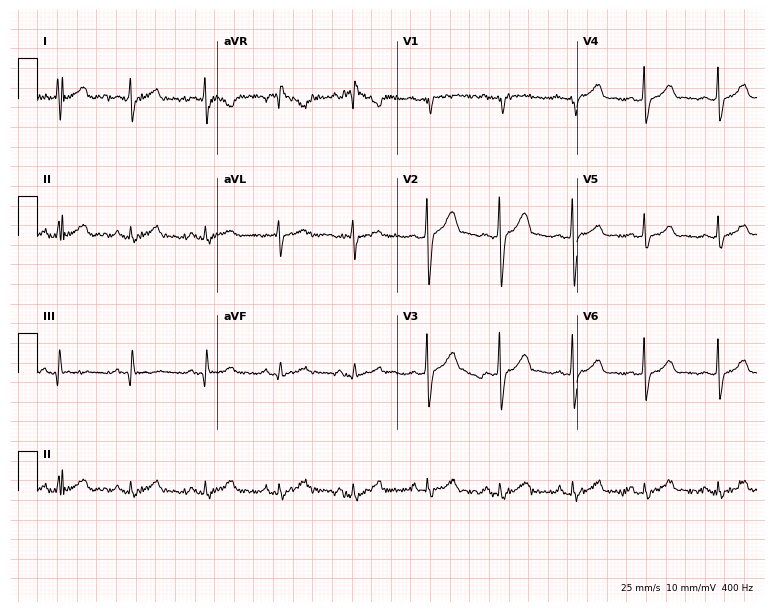
12-lead ECG from a 31-year-old man. No first-degree AV block, right bundle branch block, left bundle branch block, sinus bradycardia, atrial fibrillation or sinus tachycardia recorded for this tracing.